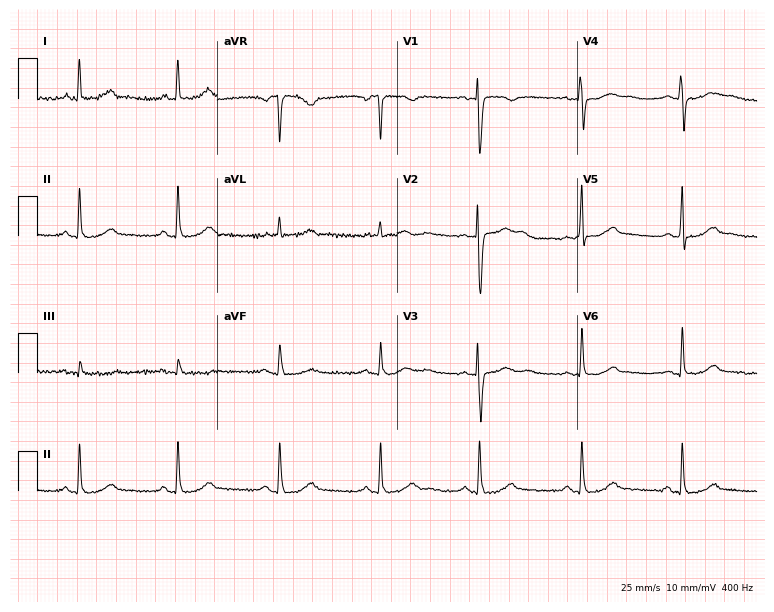
Standard 12-lead ECG recorded from a woman, 42 years old. None of these six findings is recorded: first-degree AV block, right bundle branch block, left bundle branch block, sinus bradycardia, atrial fibrillation, sinus tachycardia. Findings outside these six are not listed.